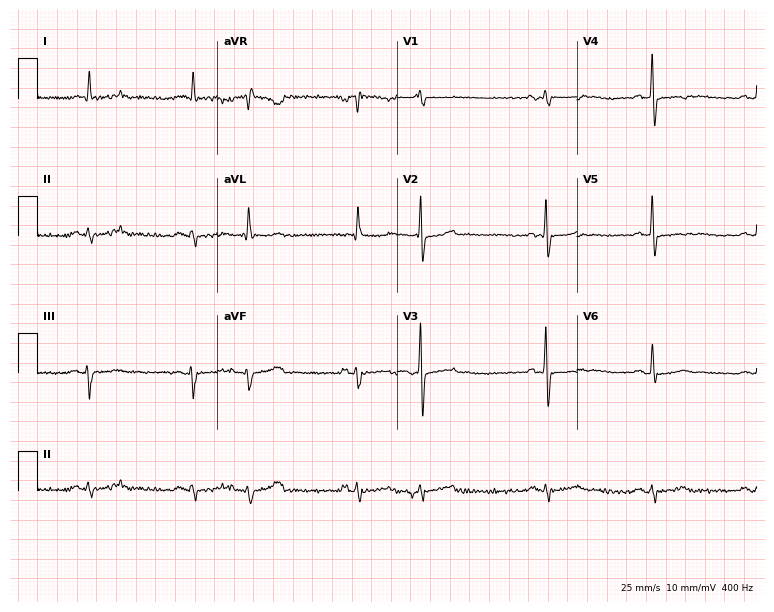
12-lead ECG from a male, 75 years old (7.3-second recording at 400 Hz). No first-degree AV block, right bundle branch block, left bundle branch block, sinus bradycardia, atrial fibrillation or sinus tachycardia recorded for this tracing.